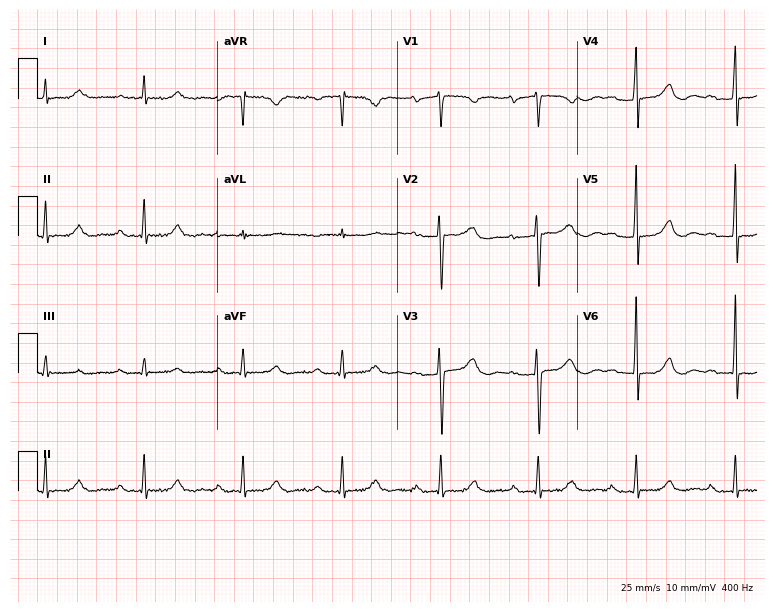
Standard 12-lead ECG recorded from an 85-year-old female (7.3-second recording at 400 Hz). The tracing shows first-degree AV block.